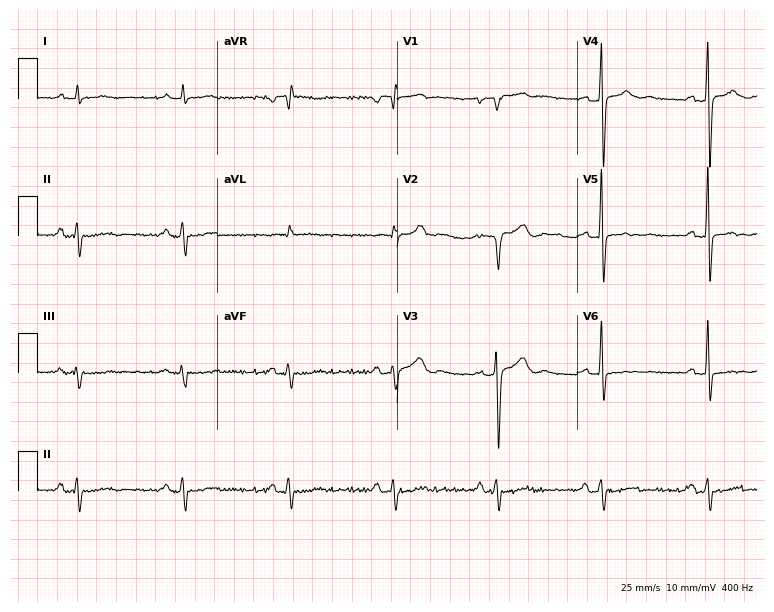
Standard 12-lead ECG recorded from a 46-year-old male patient. None of these six findings is recorded: first-degree AV block, right bundle branch block, left bundle branch block, sinus bradycardia, atrial fibrillation, sinus tachycardia. Only these six findings were labelled.